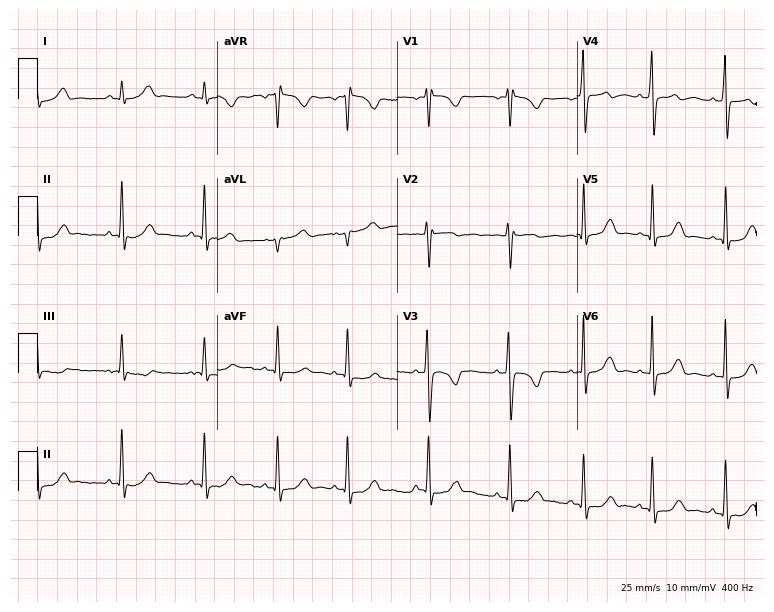
12-lead ECG from a 23-year-old female. No first-degree AV block, right bundle branch block, left bundle branch block, sinus bradycardia, atrial fibrillation or sinus tachycardia recorded for this tracing. Only these six findings were labelled.